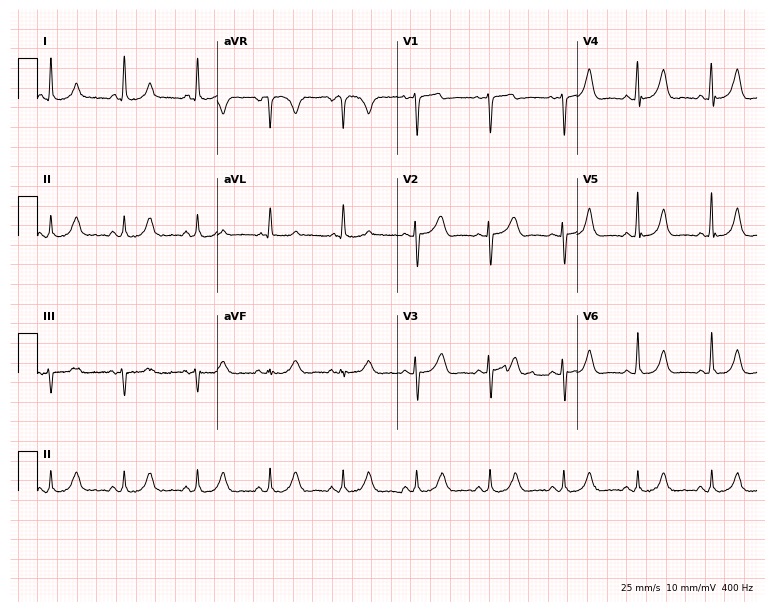
12-lead ECG (7.3-second recording at 400 Hz) from a woman, 52 years old. Labelled as a normal ECG.